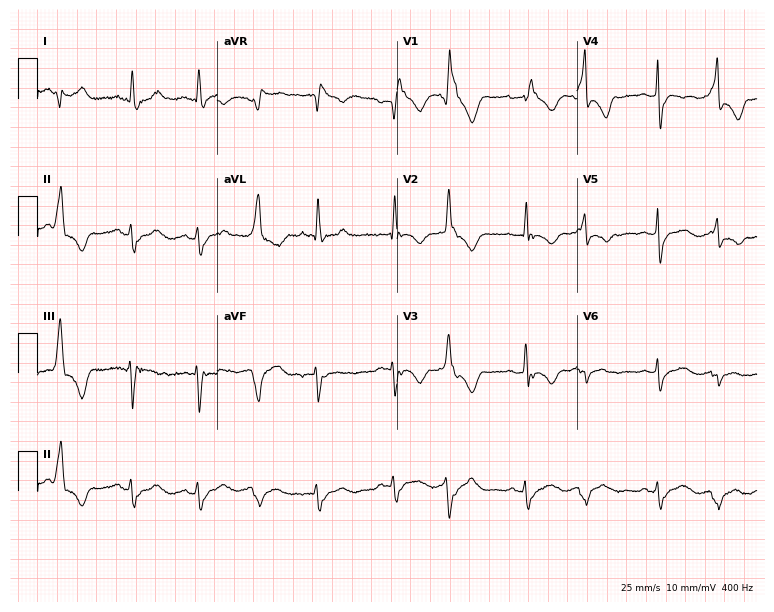
Electrocardiogram (7.3-second recording at 400 Hz), a 41-year-old woman. Of the six screened findings (first-degree AV block, right bundle branch block, left bundle branch block, sinus bradycardia, atrial fibrillation, sinus tachycardia), none is recorded. Other findings, if any, are not listed.